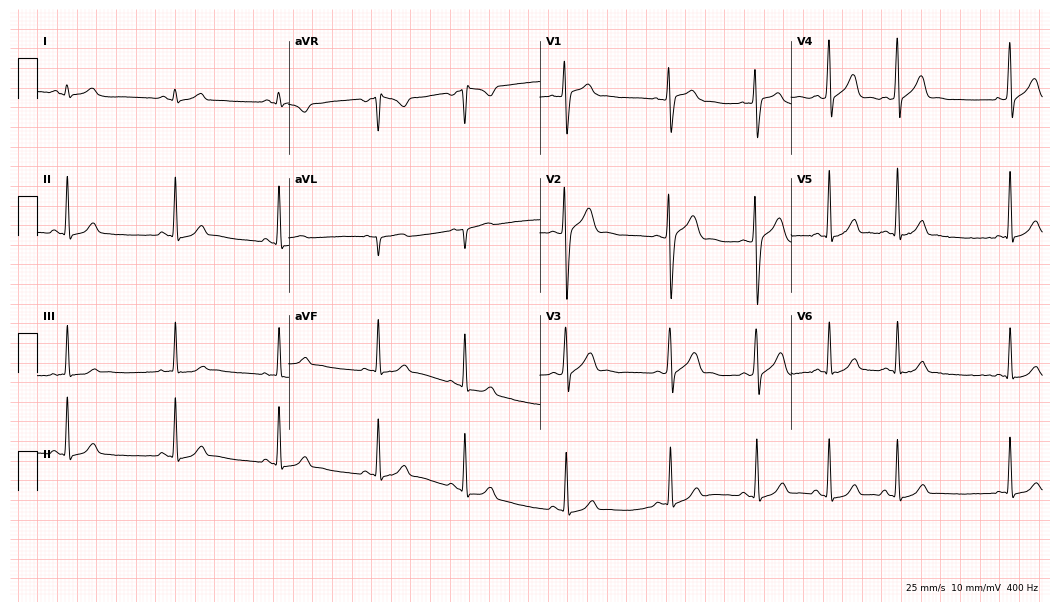
12-lead ECG from a 26-year-old male patient. Recorded interpretation: within normal limits.